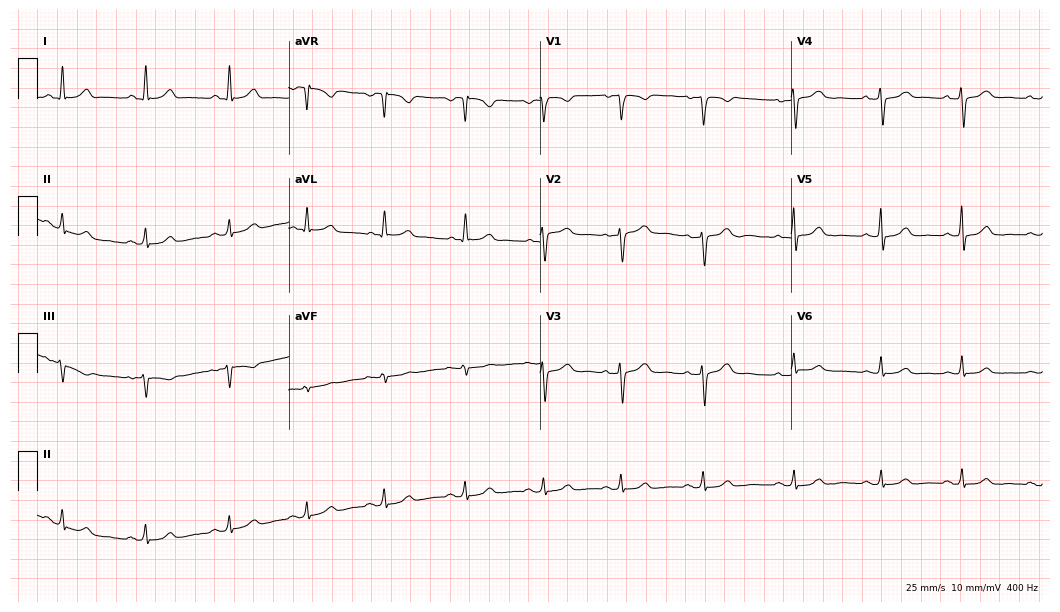
ECG (10.2-second recording at 400 Hz) — a 52-year-old woman. Labelled as a normal ECG.